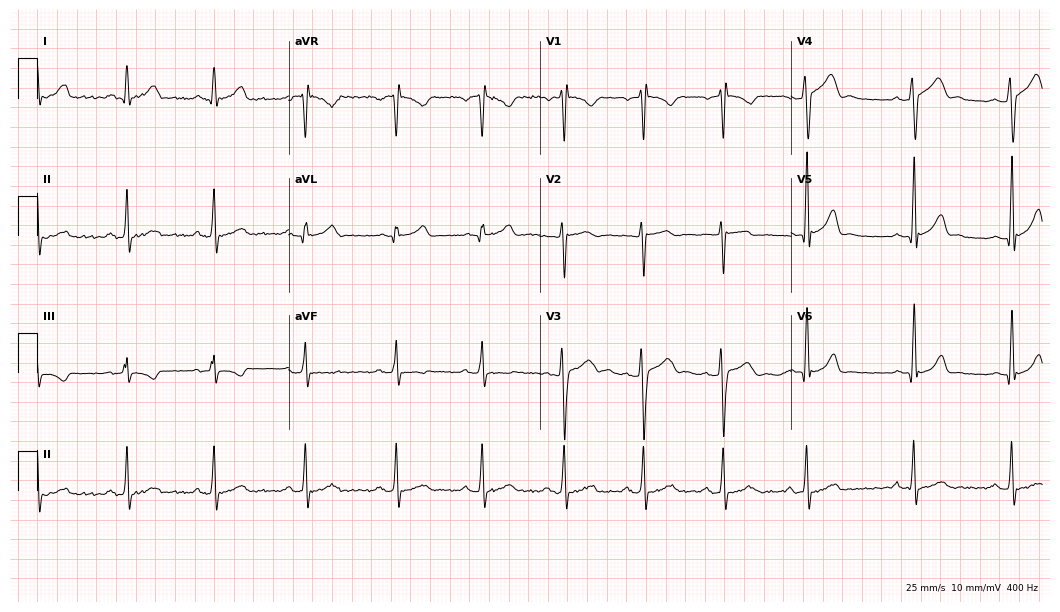
Resting 12-lead electrocardiogram. Patient: an 18-year-old male. None of these six findings is recorded: first-degree AV block, right bundle branch block, left bundle branch block, sinus bradycardia, atrial fibrillation, sinus tachycardia. Other findings, if any, are not listed.